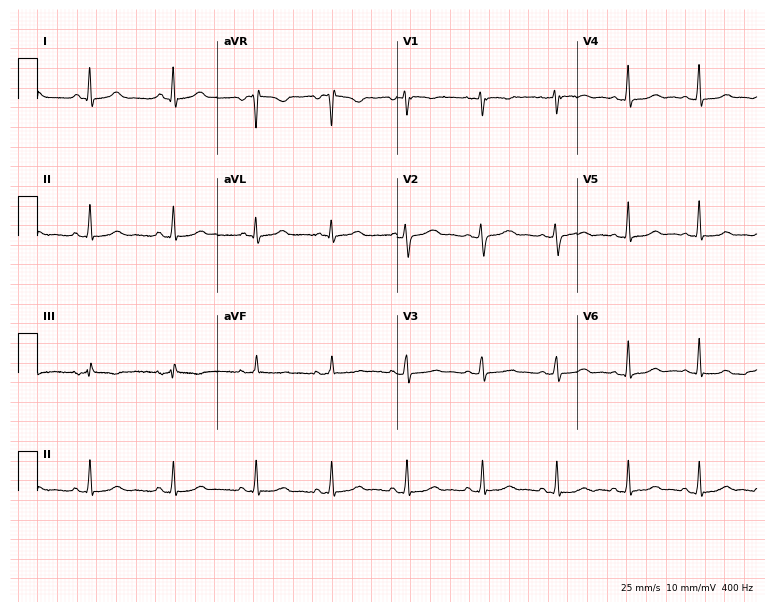
Resting 12-lead electrocardiogram (7.3-second recording at 400 Hz). Patient: a 38-year-old female. None of these six findings is recorded: first-degree AV block, right bundle branch block, left bundle branch block, sinus bradycardia, atrial fibrillation, sinus tachycardia. Only these six findings were labelled.